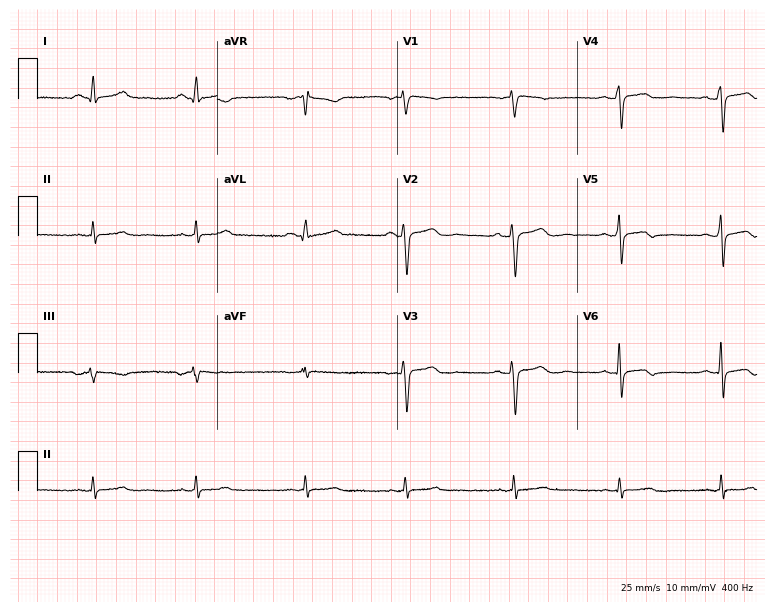
Standard 12-lead ECG recorded from a 49-year-old woman. None of these six findings is recorded: first-degree AV block, right bundle branch block, left bundle branch block, sinus bradycardia, atrial fibrillation, sinus tachycardia. Only these six findings were labelled.